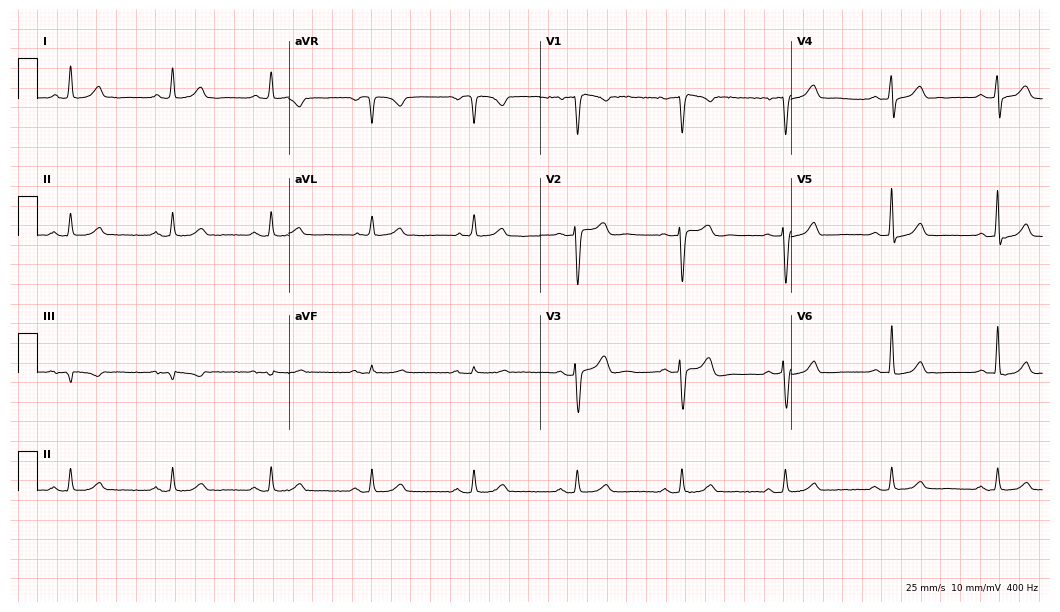
12-lead ECG from a male patient, 63 years old. Recorded interpretation: within normal limits.